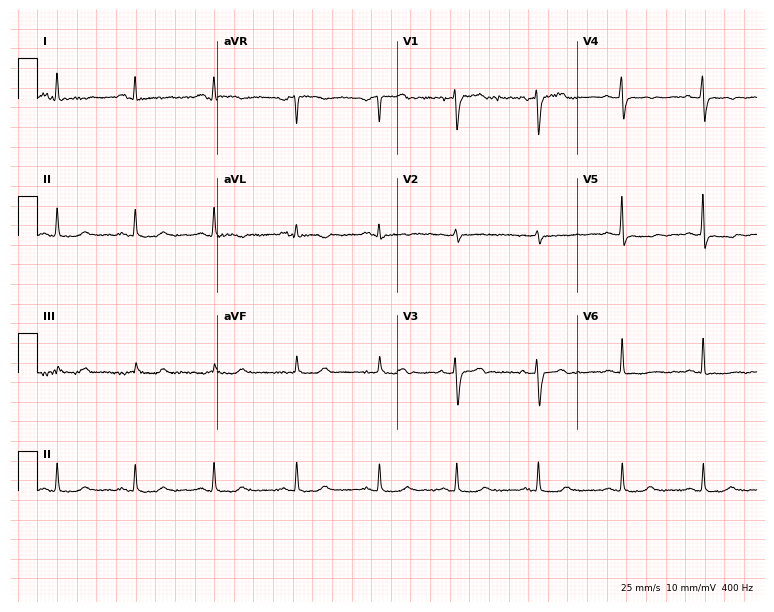
Electrocardiogram (7.3-second recording at 400 Hz), a female, 56 years old. Of the six screened findings (first-degree AV block, right bundle branch block, left bundle branch block, sinus bradycardia, atrial fibrillation, sinus tachycardia), none is recorded.